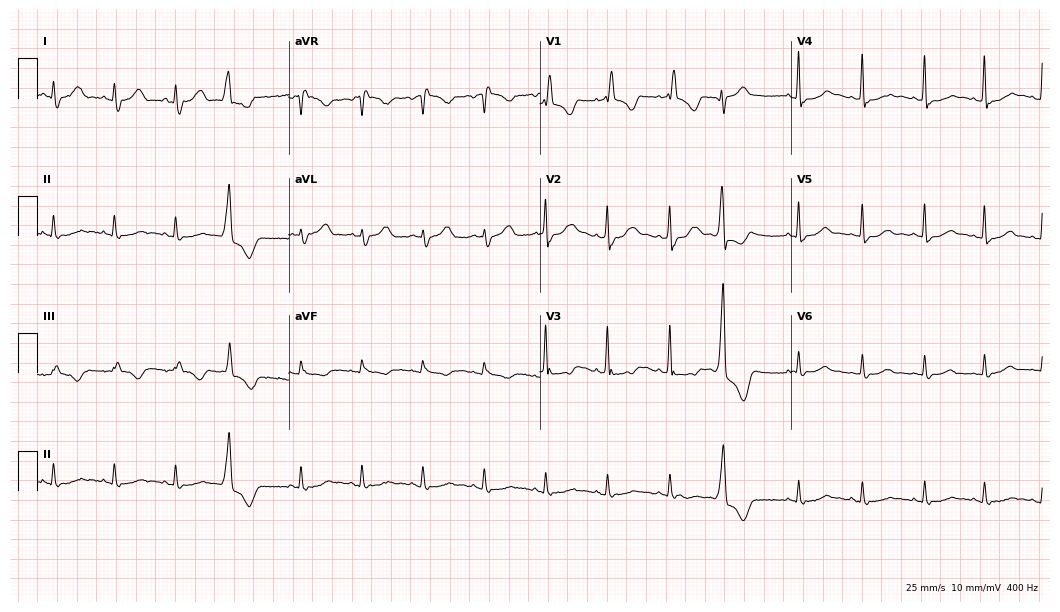
Standard 12-lead ECG recorded from a 72-year-old female patient. None of these six findings is recorded: first-degree AV block, right bundle branch block, left bundle branch block, sinus bradycardia, atrial fibrillation, sinus tachycardia. Other findings, if any, are not listed.